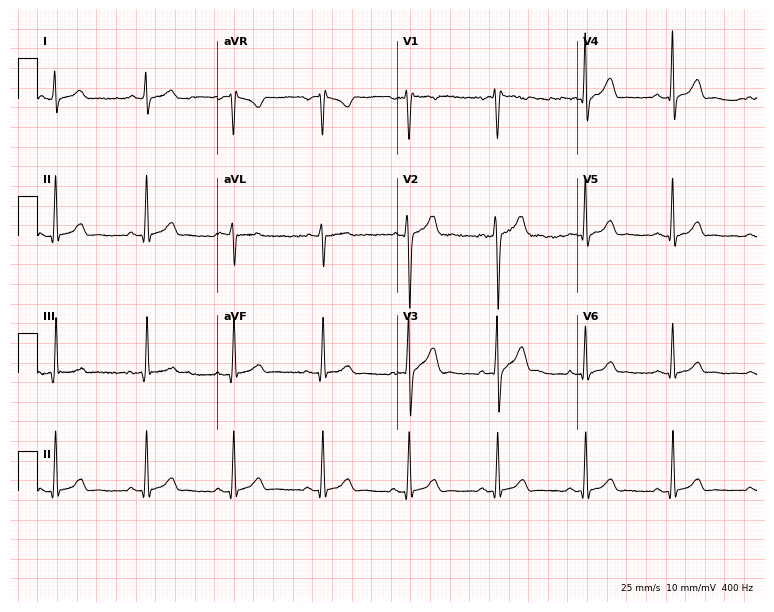
Standard 12-lead ECG recorded from a male patient, 34 years old (7.3-second recording at 400 Hz). Read as a normal ECG.